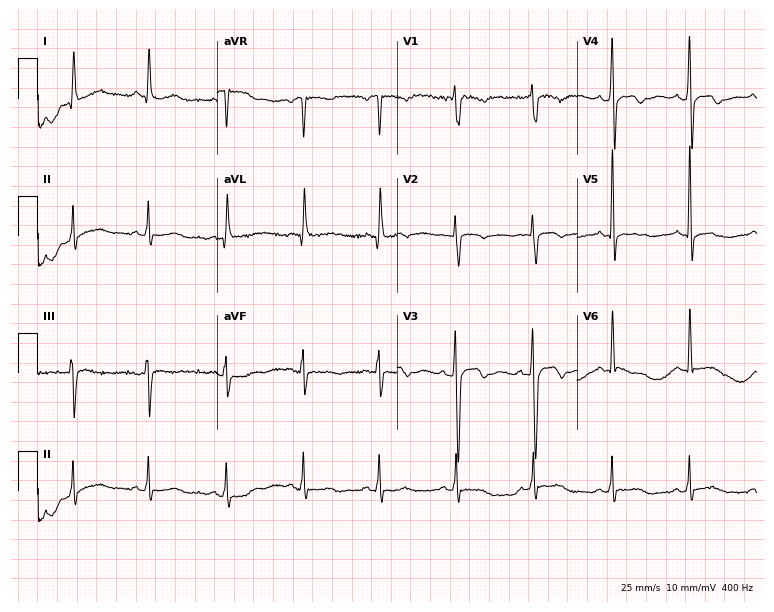
12-lead ECG from a female patient, 84 years old. No first-degree AV block, right bundle branch block (RBBB), left bundle branch block (LBBB), sinus bradycardia, atrial fibrillation (AF) or sinus tachycardia recorded for this tracing.